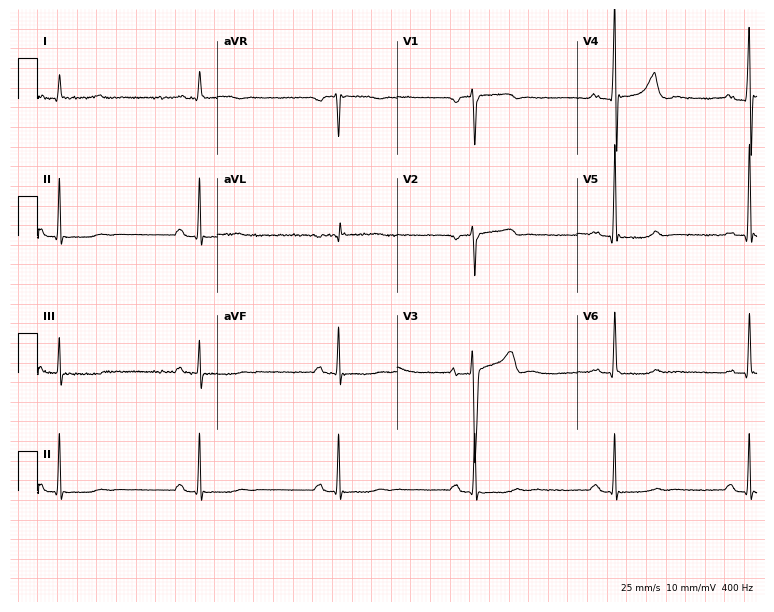
12-lead ECG from a male, 72 years old (7.3-second recording at 400 Hz). Shows first-degree AV block, sinus bradycardia (a sinus rate of 50 beats per minute or less).